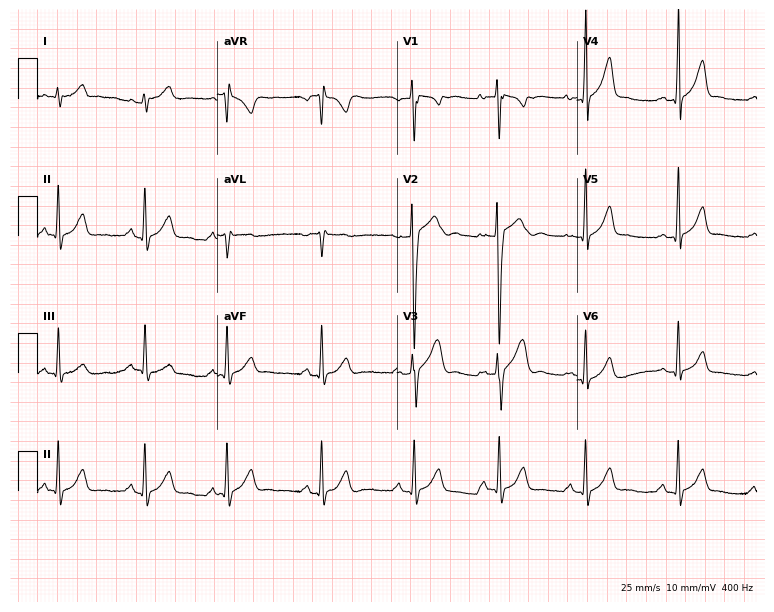
12-lead ECG (7.3-second recording at 400 Hz) from a female, 17 years old. Labelled as a normal ECG.